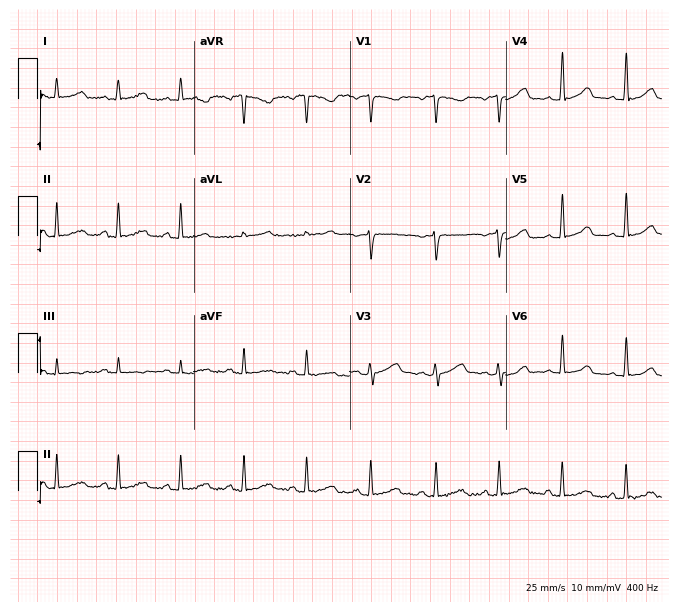
Electrocardiogram (6.4-second recording at 400 Hz), a 29-year-old female. Overall reading on record: normal ECG.